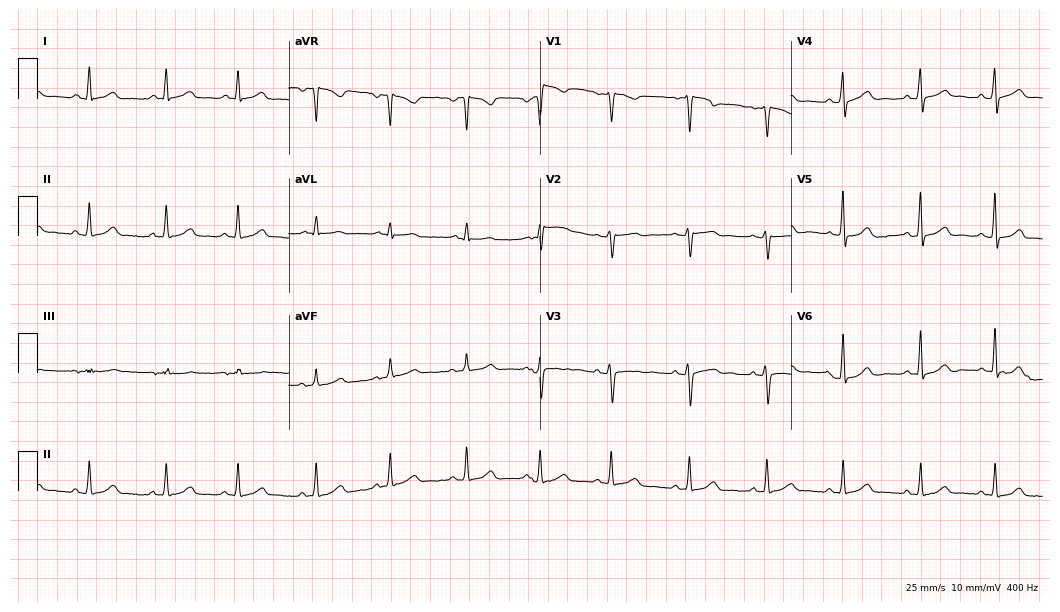
Resting 12-lead electrocardiogram. Patient: a female, 45 years old. Read as a normal ECG.